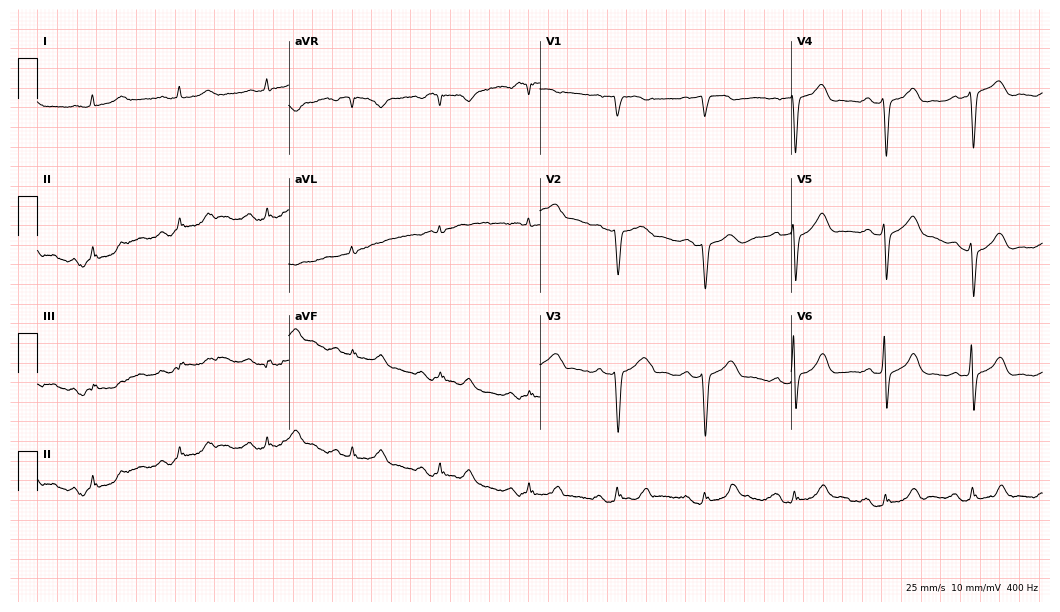
Electrocardiogram (10.2-second recording at 400 Hz), a 25-year-old male. Of the six screened findings (first-degree AV block, right bundle branch block (RBBB), left bundle branch block (LBBB), sinus bradycardia, atrial fibrillation (AF), sinus tachycardia), none is recorded.